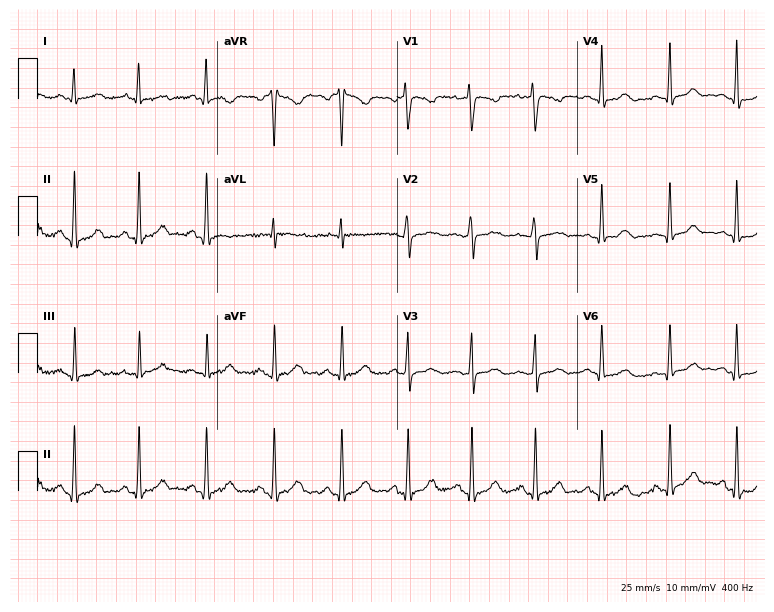
12-lead ECG (7.3-second recording at 400 Hz) from a woman, 29 years old. Screened for six findings — first-degree AV block, right bundle branch block, left bundle branch block, sinus bradycardia, atrial fibrillation, sinus tachycardia — none is recorded. Other findings, if any, are not listed.